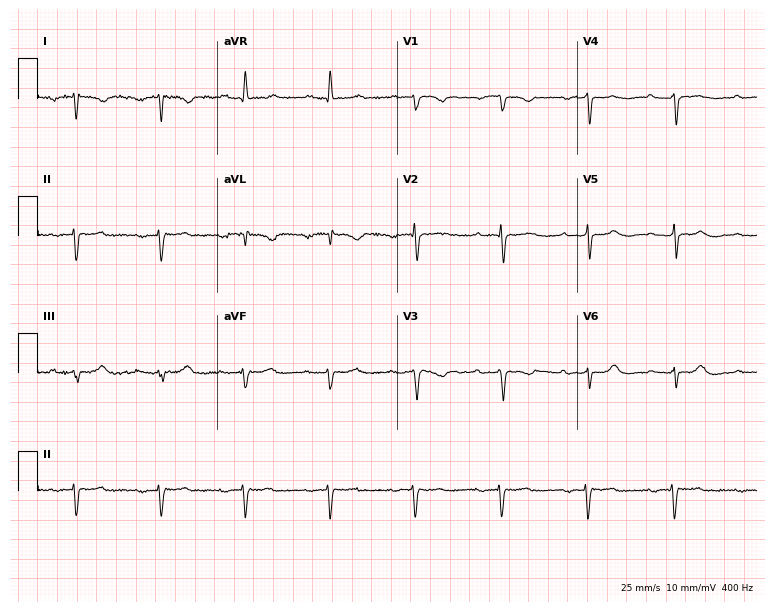
Resting 12-lead electrocardiogram (7.3-second recording at 400 Hz). Patient: a female, 79 years old. None of these six findings is recorded: first-degree AV block, right bundle branch block, left bundle branch block, sinus bradycardia, atrial fibrillation, sinus tachycardia. Findings outside these six are not listed.